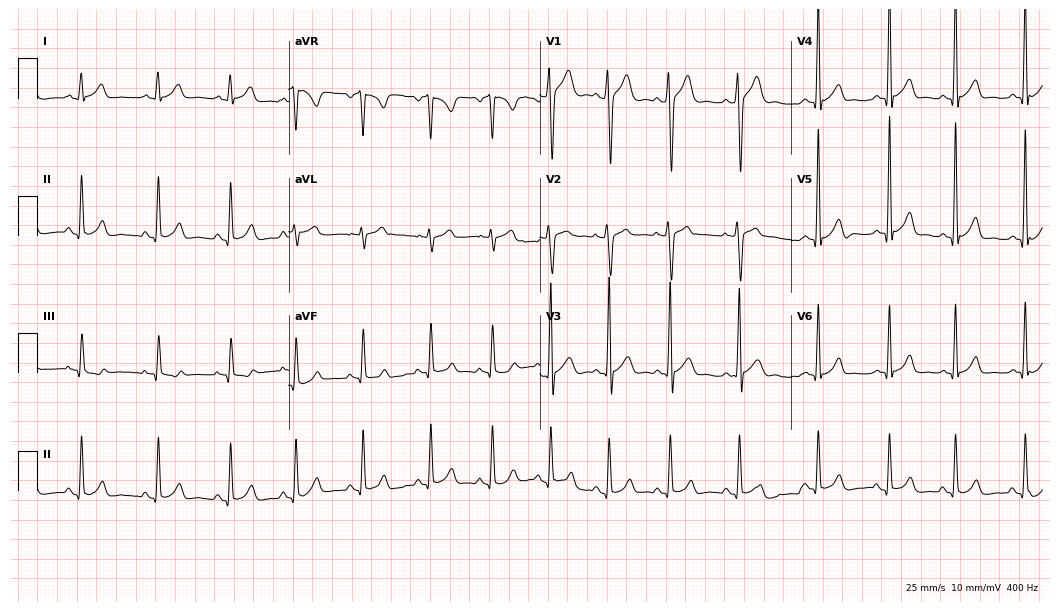
12-lead ECG (10.2-second recording at 400 Hz) from a male, 20 years old. Labelled as a normal ECG.